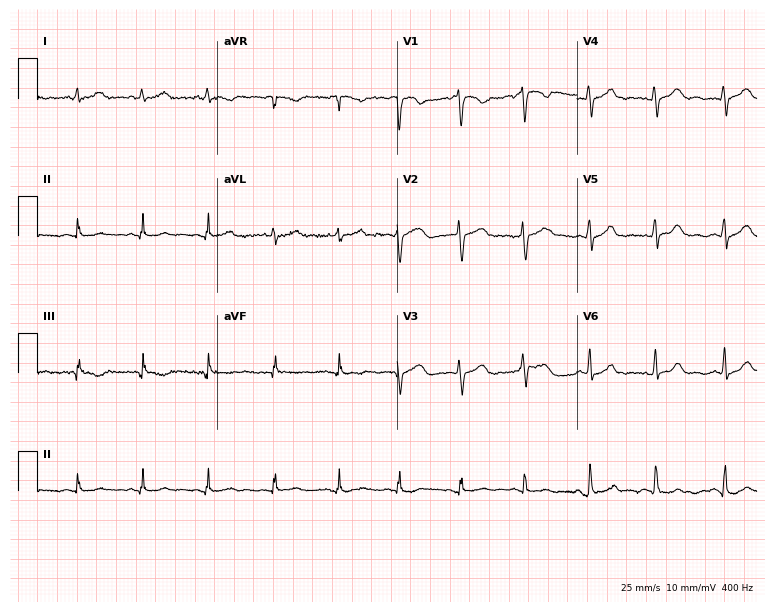
12-lead ECG from a 33-year-old female. No first-degree AV block, right bundle branch block, left bundle branch block, sinus bradycardia, atrial fibrillation or sinus tachycardia recorded for this tracing.